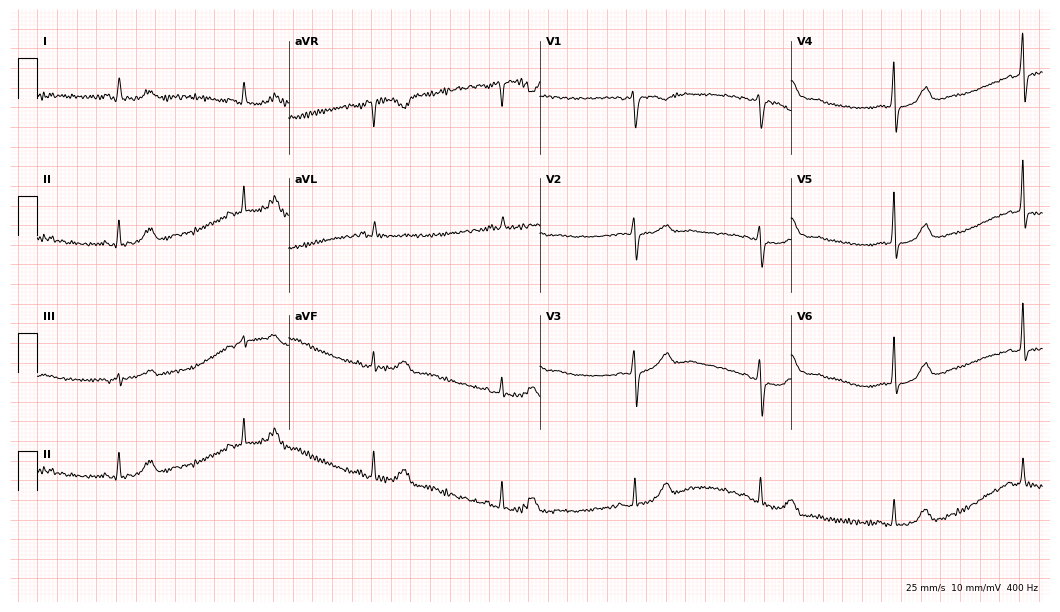
ECG (10.2-second recording at 400 Hz) — a 64-year-old female patient. Findings include sinus bradycardia (a sinus rate of 50 beats per minute or less).